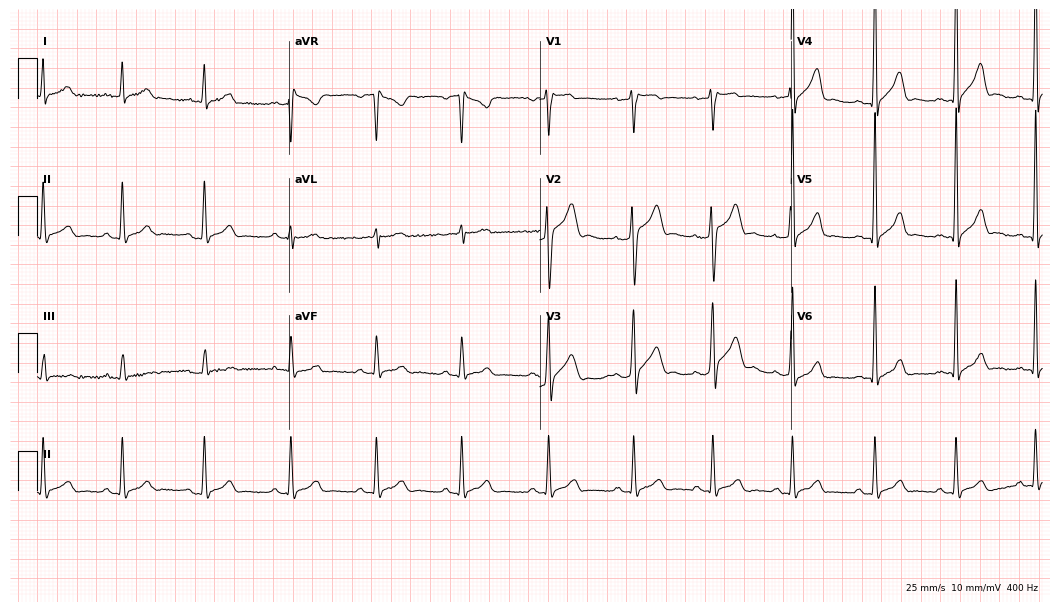
Standard 12-lead ECG recorded from a 27-year-old male. Read as a normal ECG.